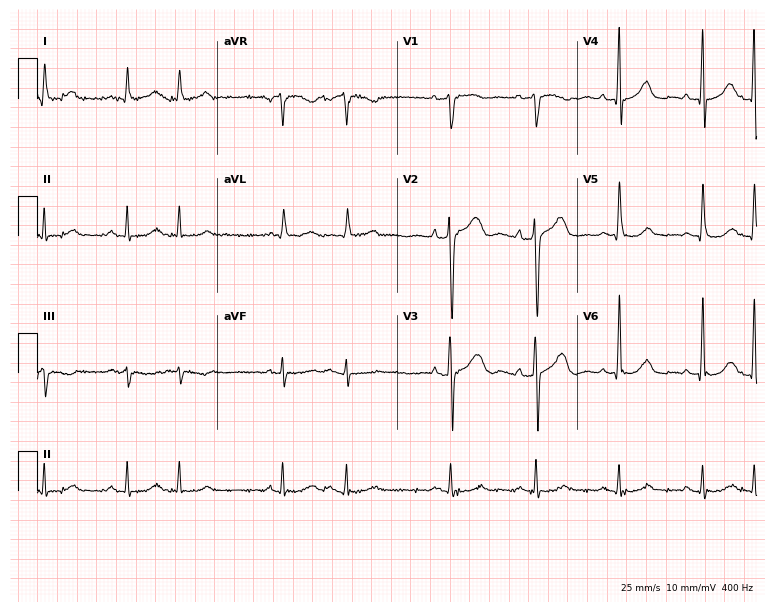
Standard 12-lead ECG recorded from a male, 76 years old (7.3-second recording at 400 Hz). Read as a normal ECG.